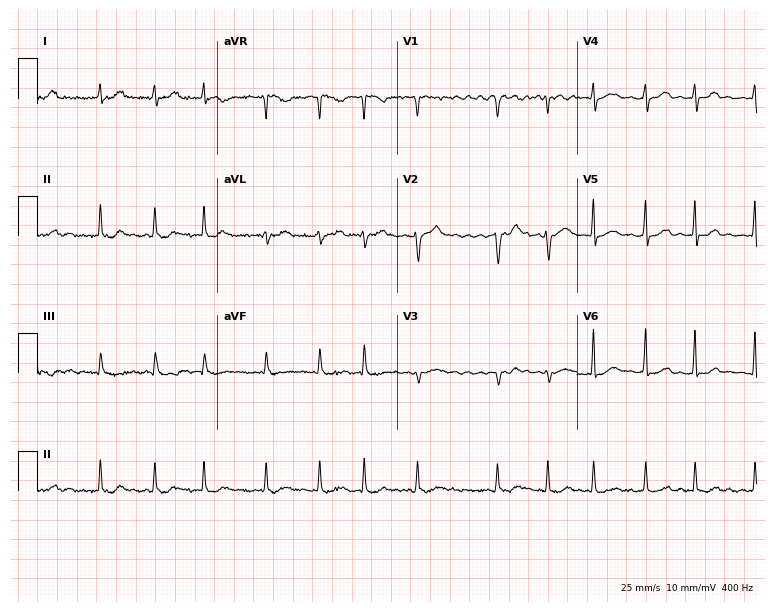
12-lead ECG from a woman, 81 years old. Shows atrial fibrillation (AF).